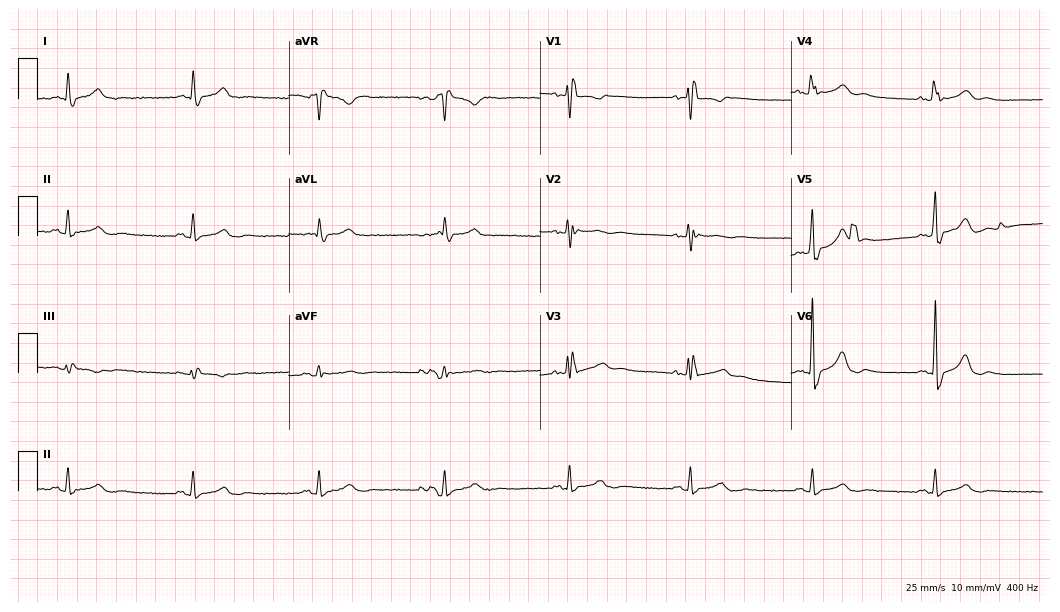
12-lead ECG from an 82-year-old male patient. Findings include sinus bradycardia (a sinus rate of 50 beats per minute or less).